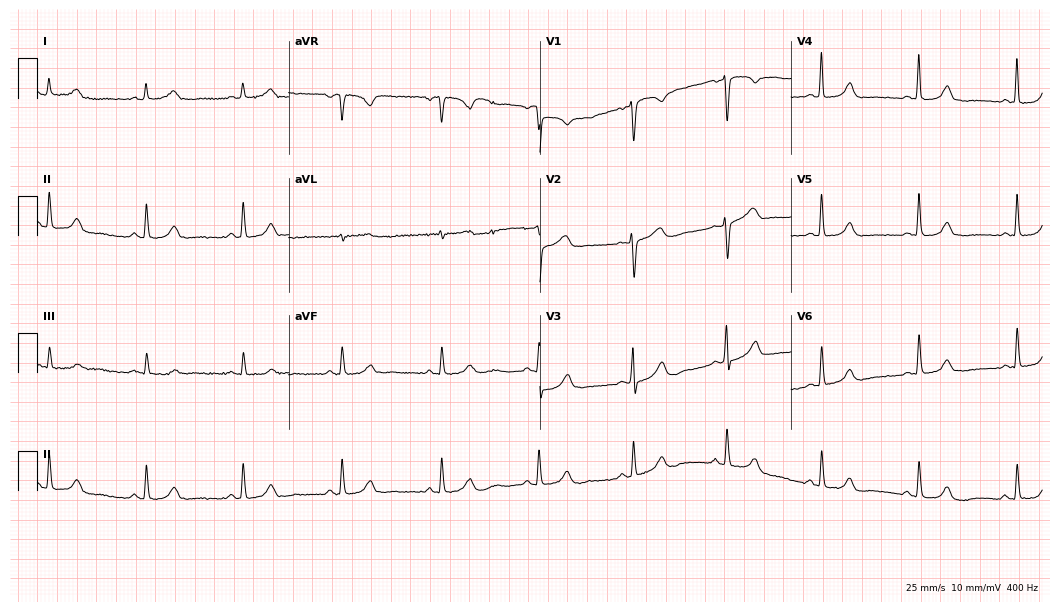
Standard 12-lead ECG recorded from a female, 56 years old (10.2-second recording at 400 Hz). Read as a normal ECG.